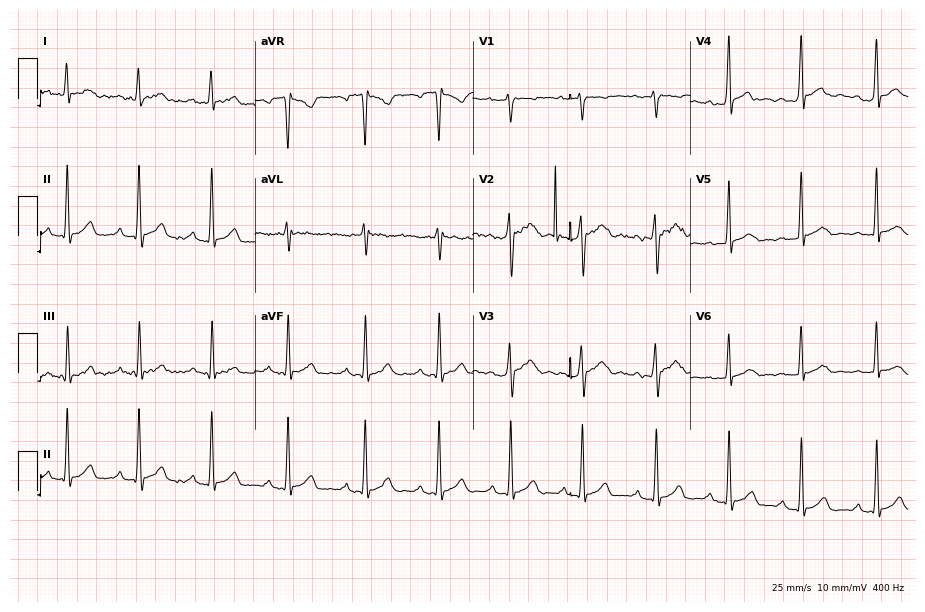
12-lead ECG (8.9-second recording at 400 Hz) from a male, 19 years old. Screened for six findings — first-degree AV block, right bundle branch block, left bundle branch block, sinus bradycardia, atrial fibrillation, sinus tachycardia — none is recorded. Other findings, if any, are not listed.